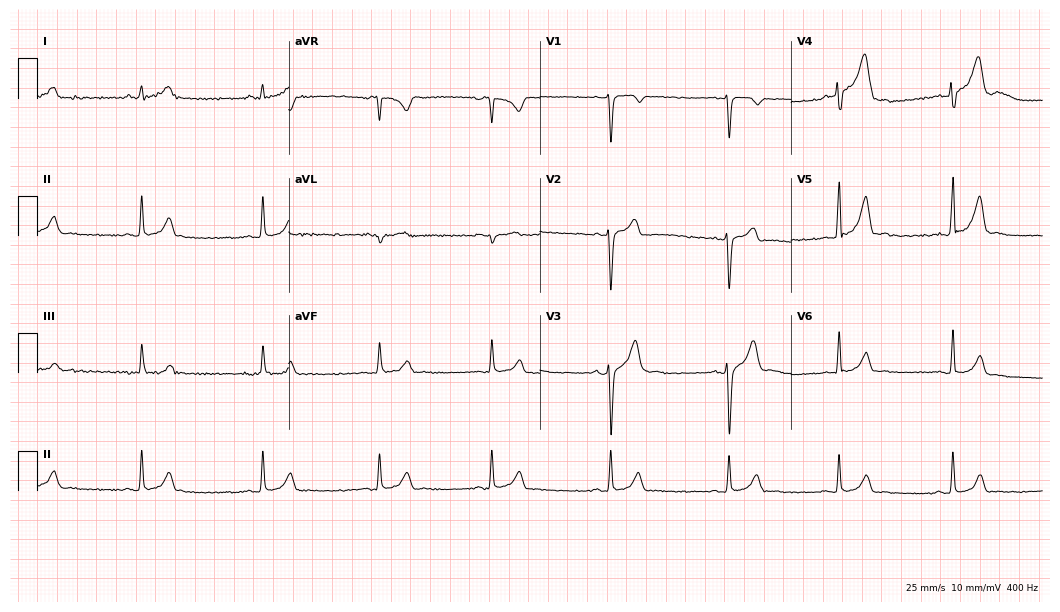
Electrocardiogram (10.2-second recording at 400 Hz), a 22-year-old man. Overall reading on record: normal ECG.